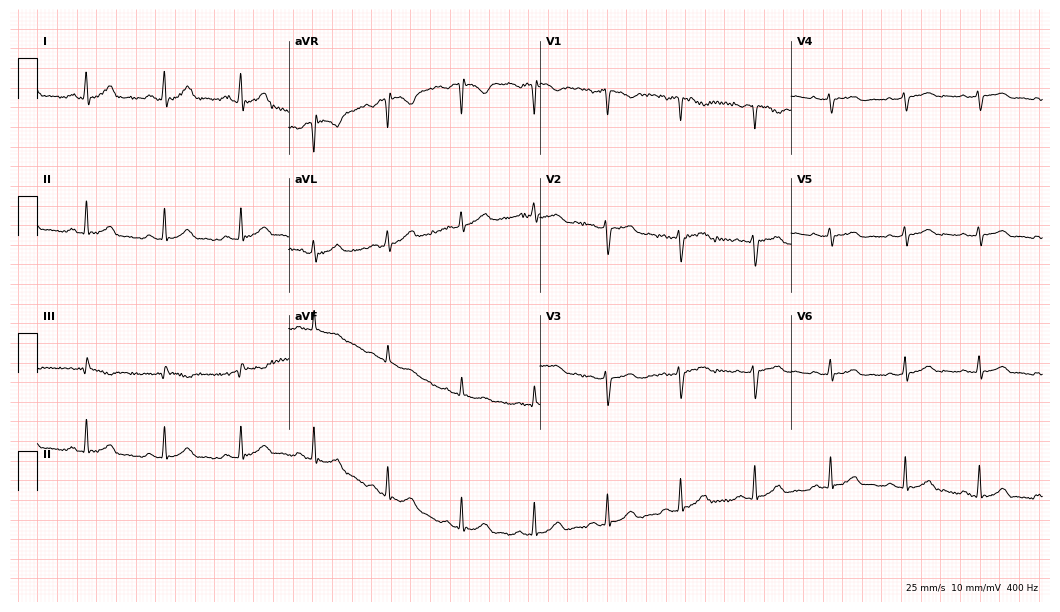
Standard 12-lead ECG recorded from a 36-year-old female. None of these six findings is recorded: first-degree AV block, right bundle branch block (RBBB), left bundle branch block (LBBB), sinus bradycardia, atrial fibrillation (AF), sinus tachycardia. Findings outside these six are not listed.